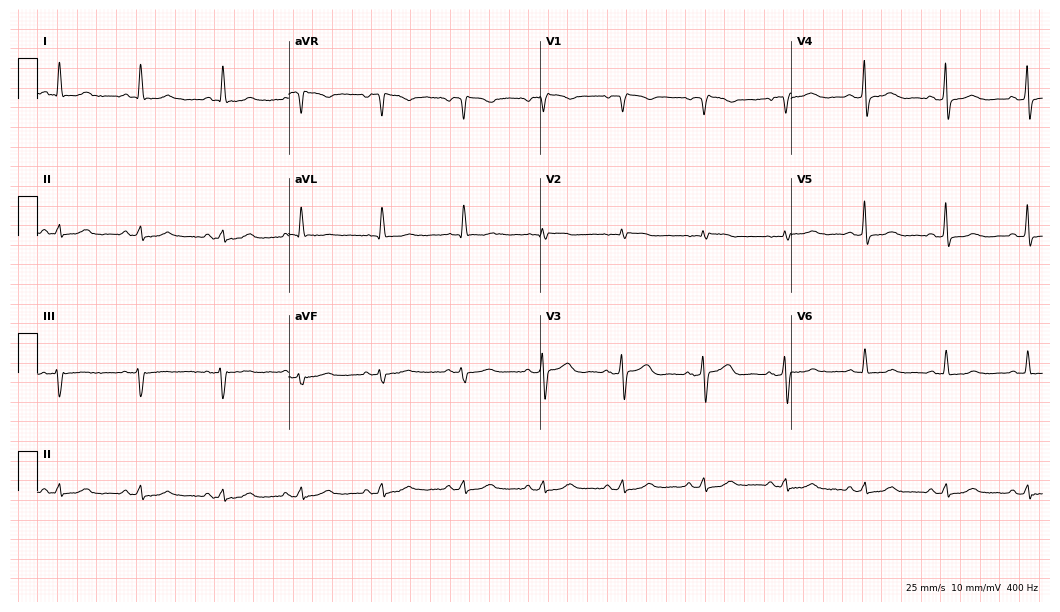
Electrocardiogram (10.2-second recording at 400 Hz), a 68-year-old female. Overall reading on record: normal ECG.